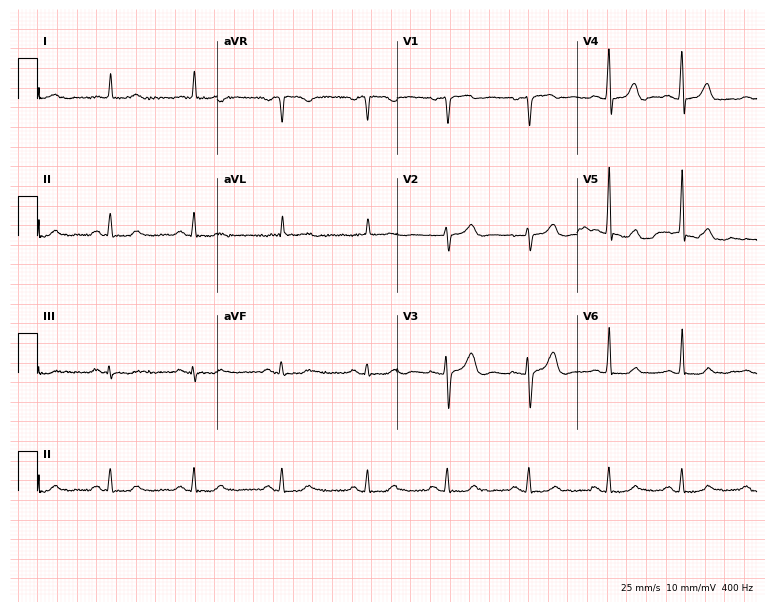
Resting 12-lead electrocardiogram (7.3-second recording at 400 Hz). Patient: a woman, 67 years old. Read as a normal ECG.